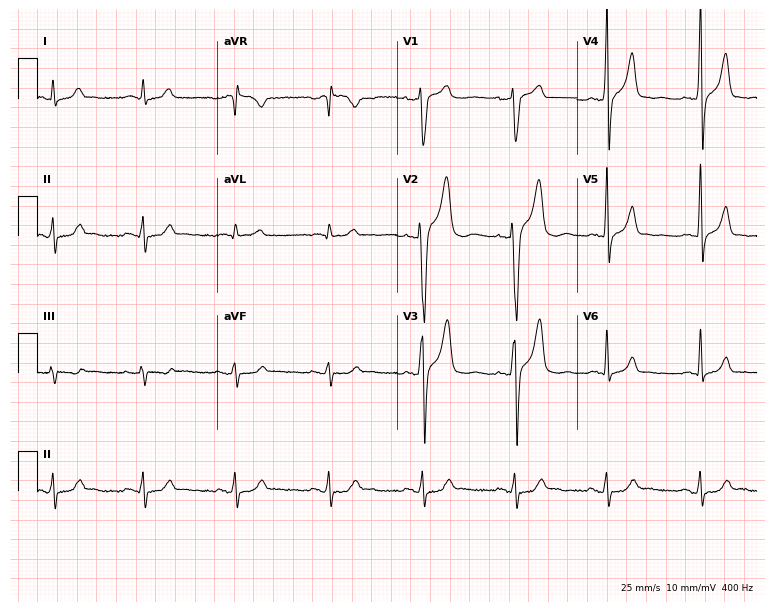
12-lead ECG from a male patient, 52 years old (7.3-second recording at 400 Hz). No first-degree AV block, right bundle branch block (RBBB), left bundle branch block (LBBB), sinus bradycardia, atrial fibrillation (AF) or sinus tachycardia recorded for this tracing. Only these six findings were labelled.